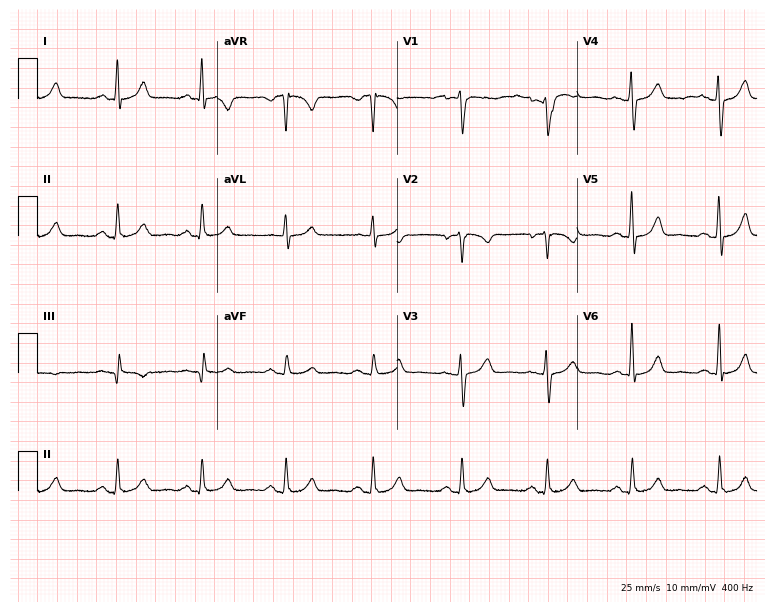
Standard 12-lead ECG recorded from a 49-year-old female patient. Read as a normal ECG.